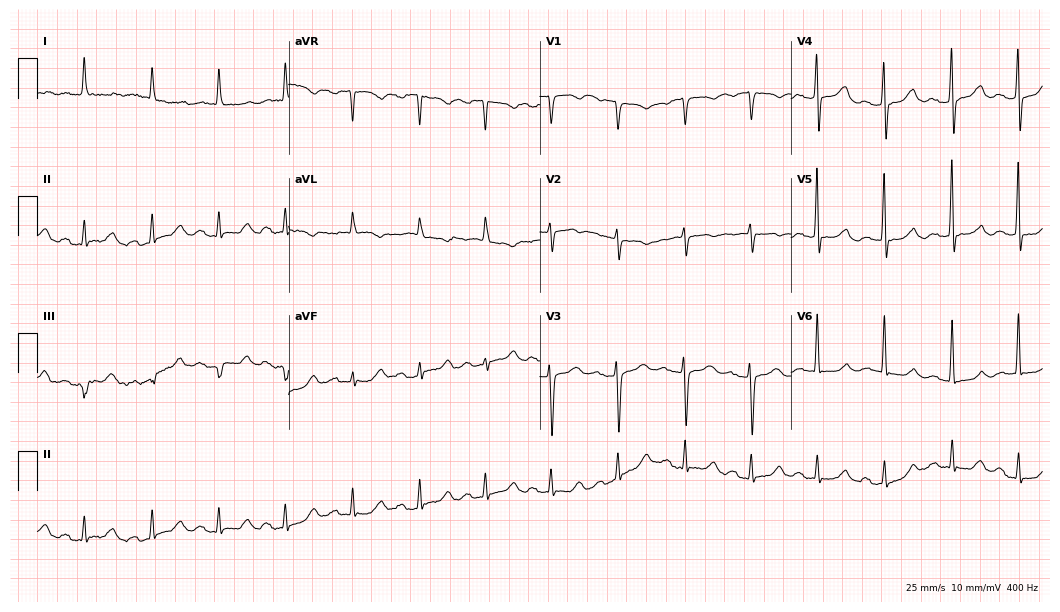
12-lead ECG (10.2-second recording at 400 Hz) from an 81-year-old woman. Findings include first-degree AV block.